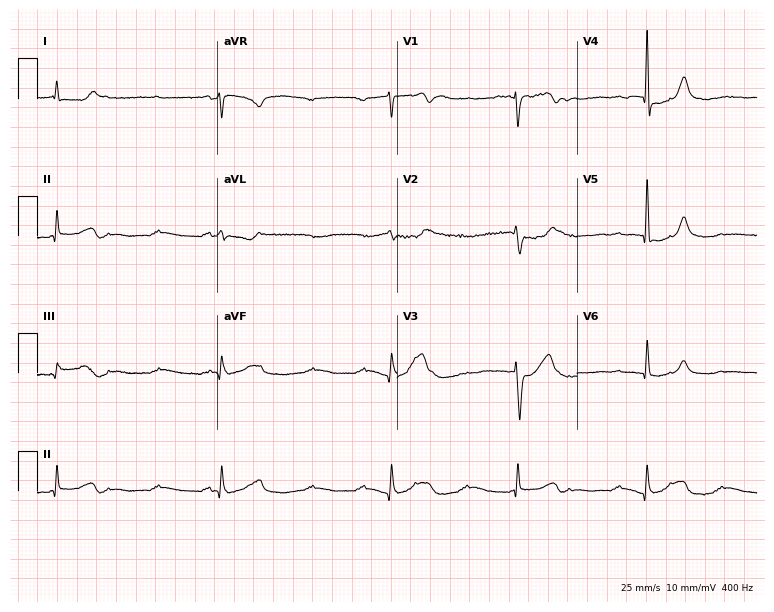
12-lead ECG from a male, 64 years old. No first-degree AV block, right bundle branch block (RBBB), left bundle branch block (LBBB), sinus bradycardia, atrial fibrillation (AF) or sinus tachycardia recorded for this tracing.